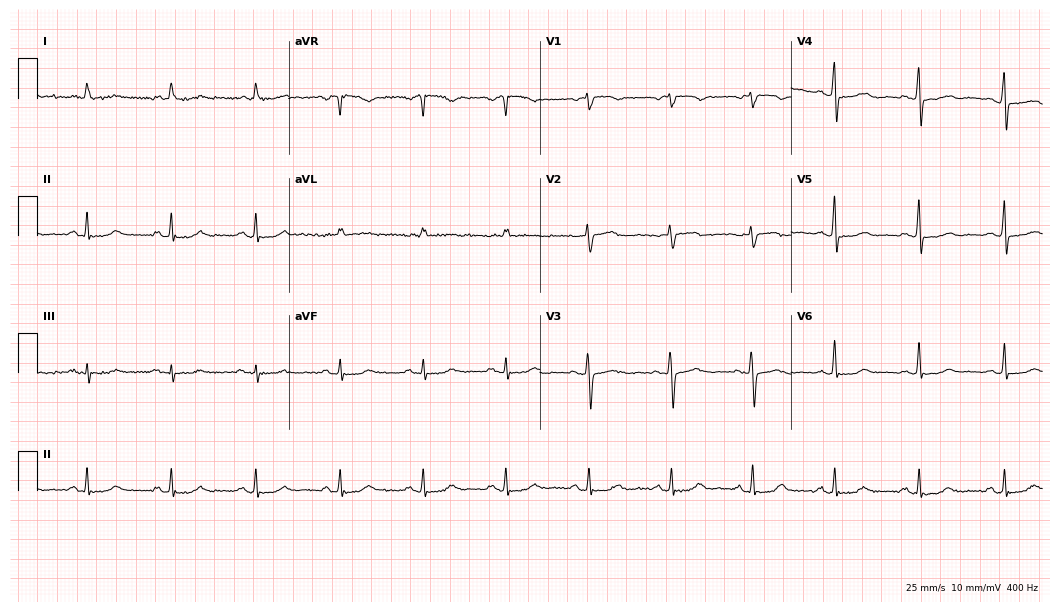
ECG (10.2-second recording at 400 Hz) — a woman, 64 years old. Labelled as a normal ECG.